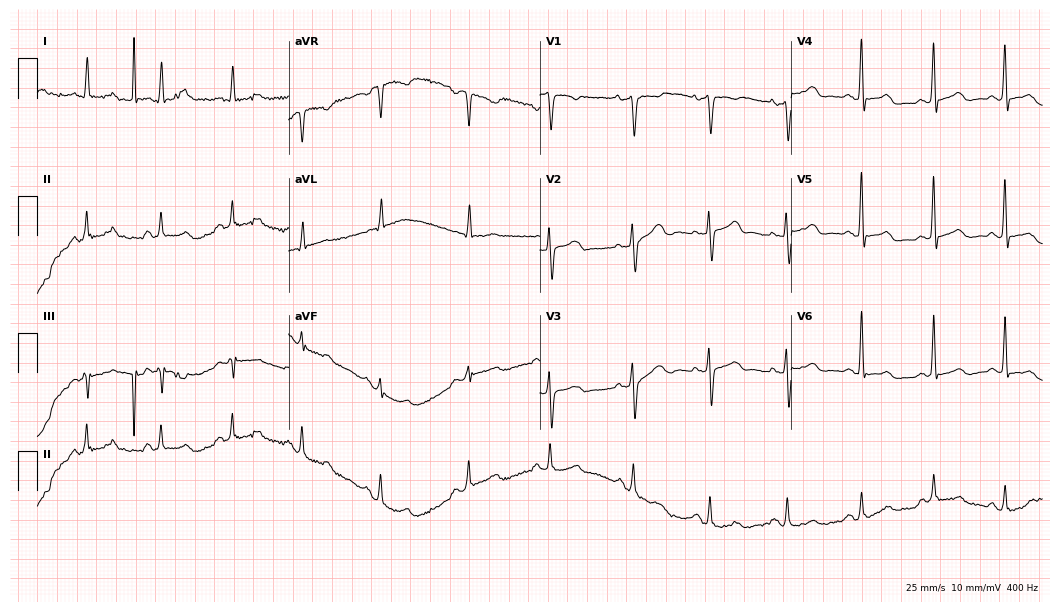
Electrocardiogram, a female patient, 49 years old. Overall reading on record: normal ECG.